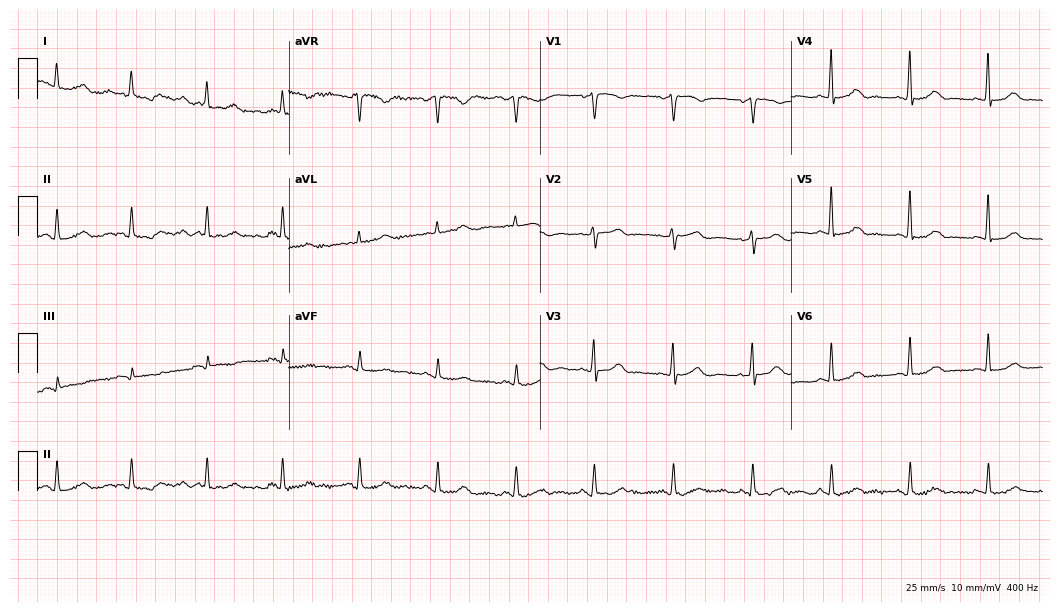
Electrocardiogram, a 60-year-old woman. Of the six screened findings (first-degree AV block, right bundle branch block, left bundle branch block, sinus bradycardia, atrial fibrillation, sinus tachycardia), none is recorded.